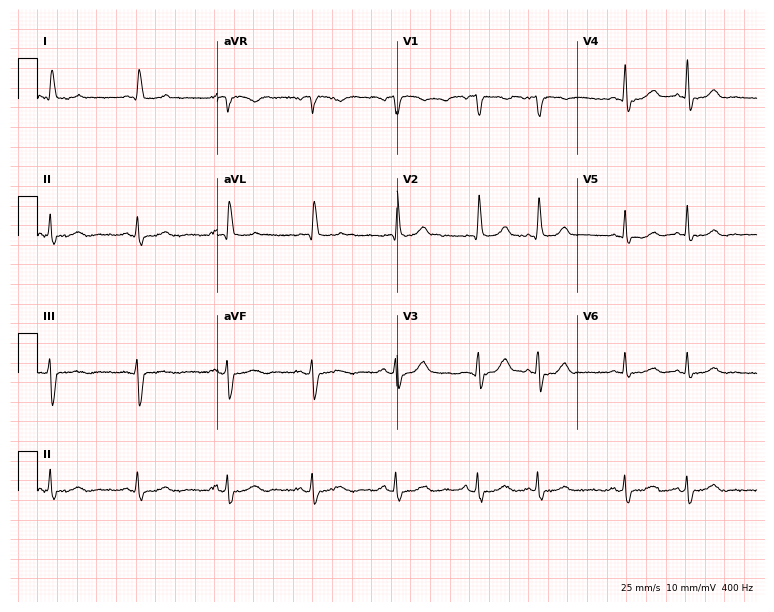
ECG (7.3-second recording at 400 Hz) — an 82-year-old male patient. Screened for six findings — first-degree AV block, right bundle branch block (RBBB), left bundle branch block (LBBB), sinus bradycardia, atrial fibrillation (AF), sinus tachycardia — none is recorded.